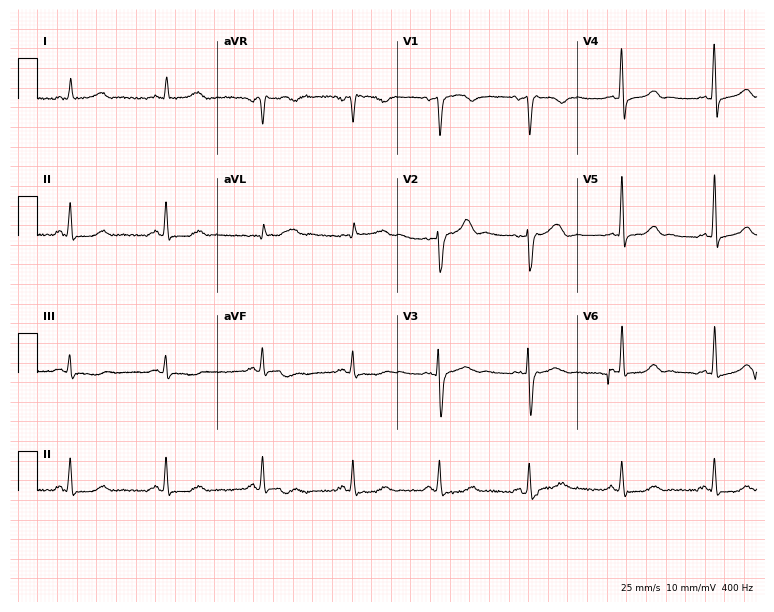
12-lead ECG from a female, 52 years old. Labelled as a normal ECG.